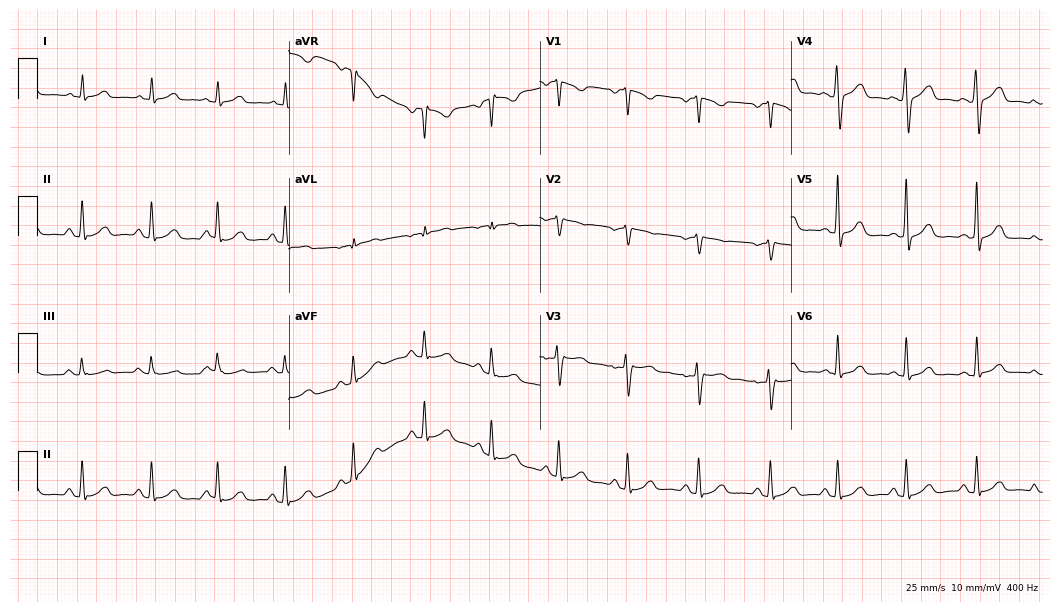
Resting 12-lead electrocardiogram. Patient: a 46-year-old female. Read as a normal ECG.